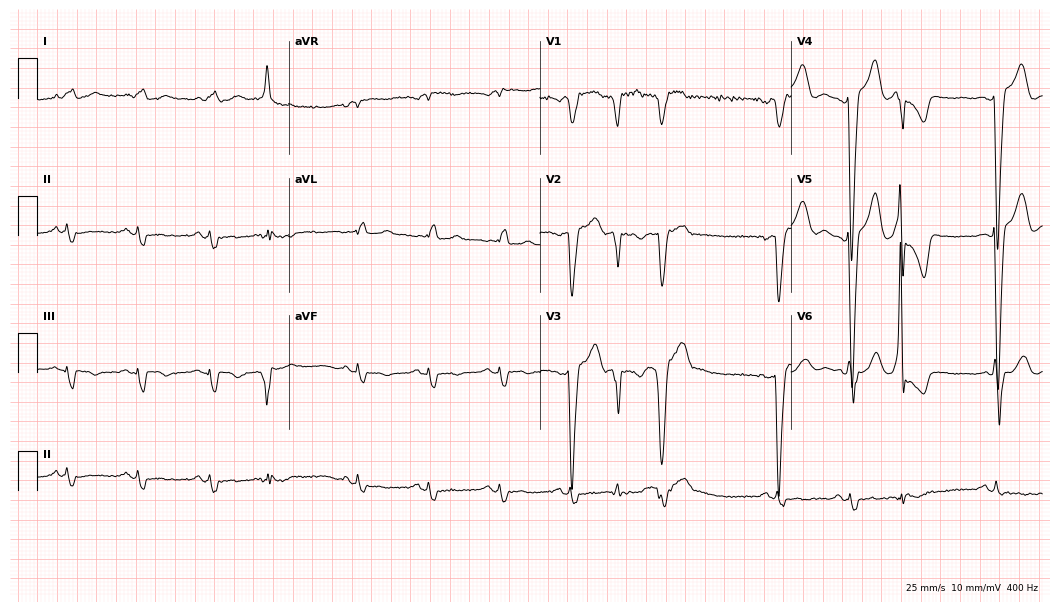
Resting 12-lead electrocardiogram. Patient: an 81-year-old man. The tracing shows left bundle branch block.